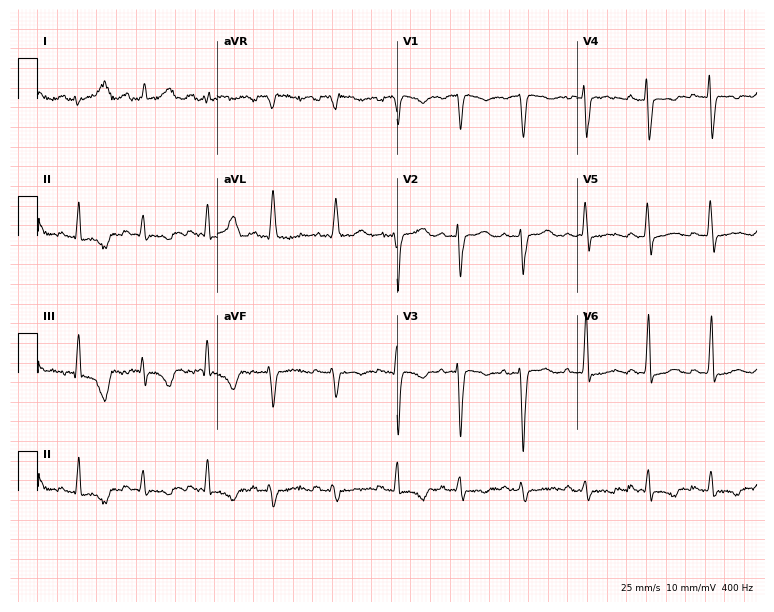
ECG — a female, 79 years old. Screened for six findings — first-degree AV block, right bundle branch block, left bundle branch block, sinus bradycardia, atrial fibrillation, sinus tachycardia — none is recorded.